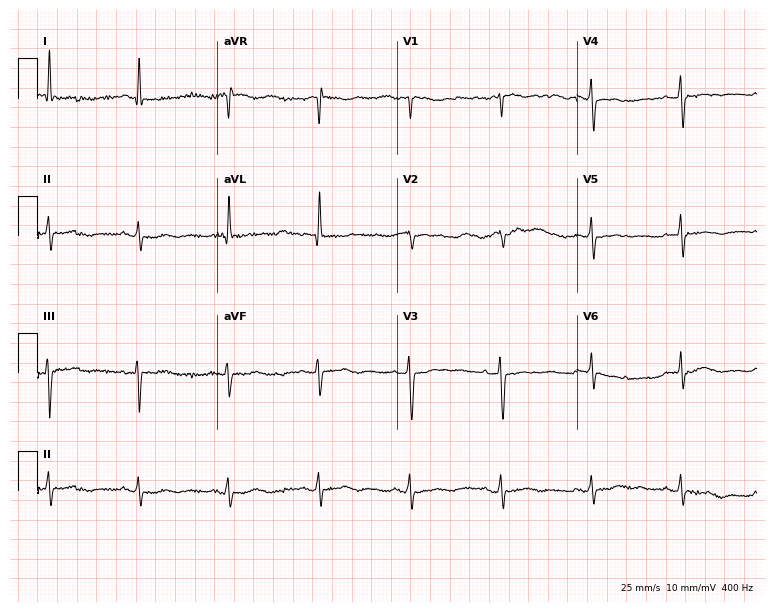
12-lead ECG from a woman, 77 years old. Recorded interpretation: within normal limits.